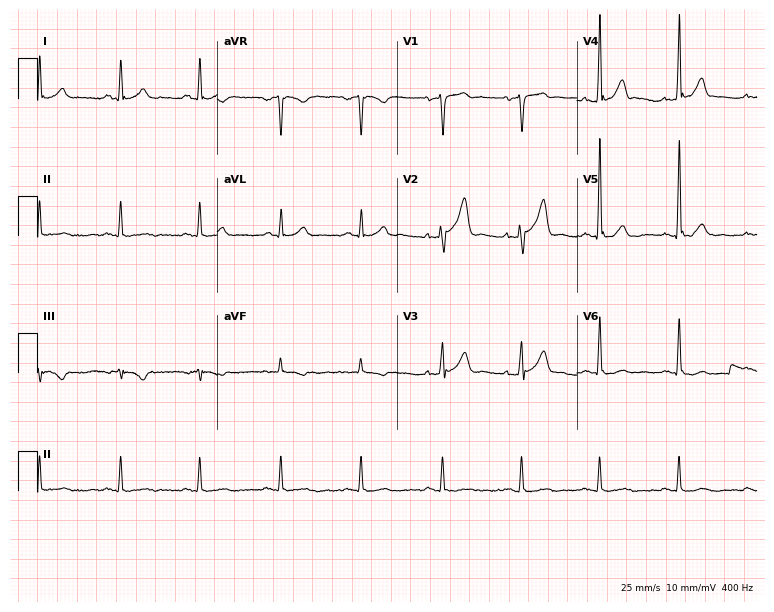
12-lead ECG from a man, 67 years old. Labelled as a normal ECG.